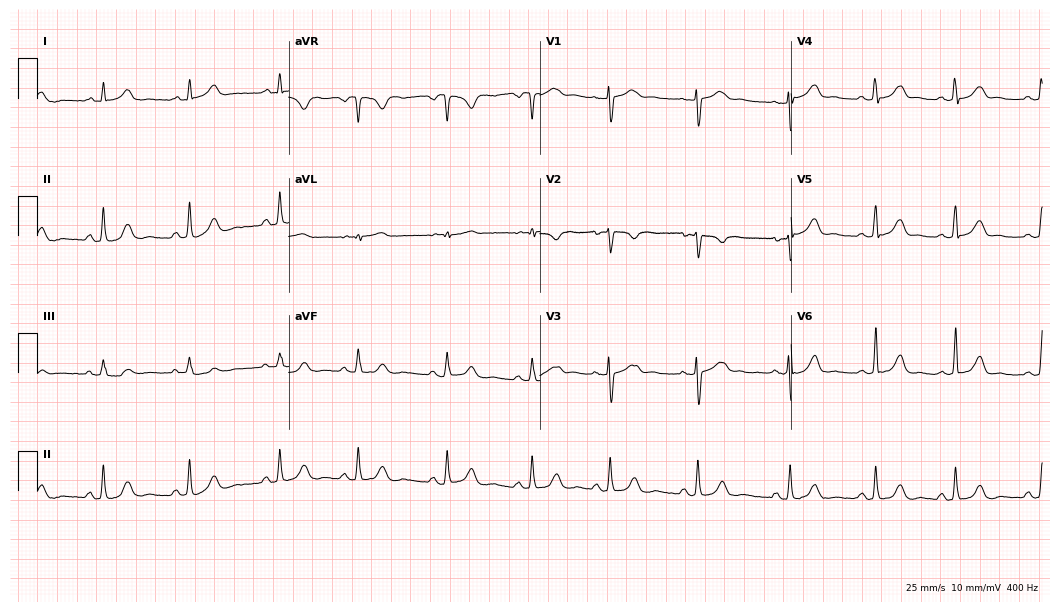
Standard 12-lead ECG recorded from a female, 26 years old. Read as a normal ECG.